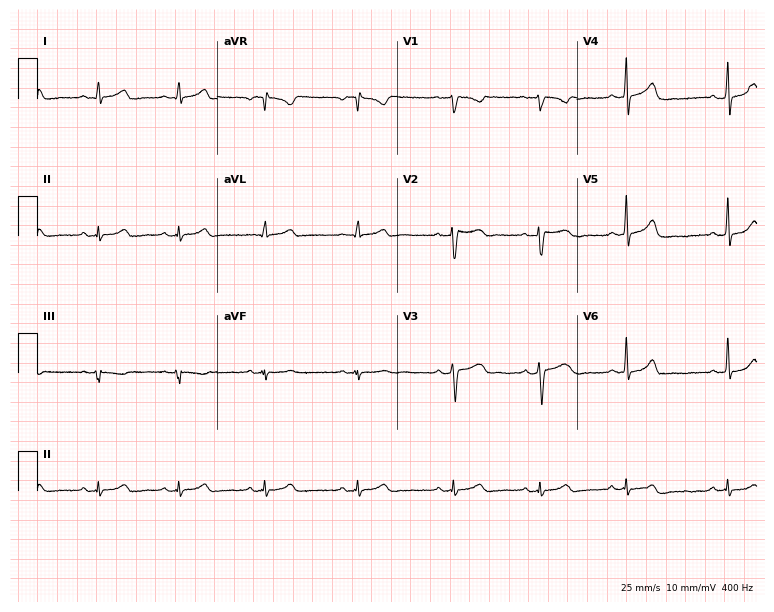
12-lead ECG from a woman, 27 years old. Screened for six findings — first-degree AV block, right bundle branch block (RBBB), left bundle branch block (LBBB), sinus bradycardia, atrial fibrillation (AF), sinus tachycardia — none is recorded.